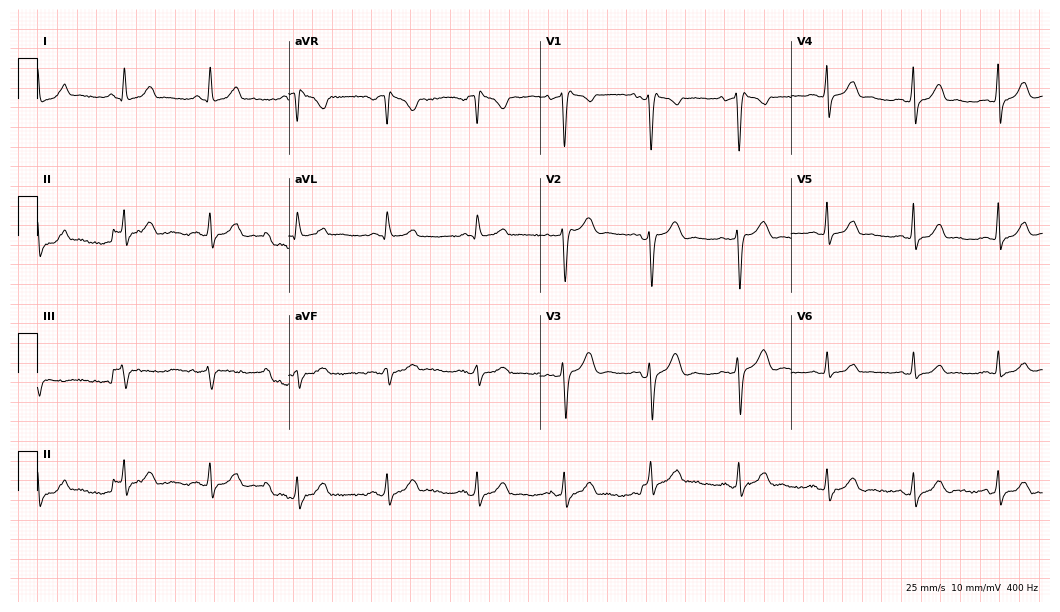
Resting 12-lead electrocardiogram. Patient: a woman, 47 years old. None of these six findings is recorded: first-degree AV block, right bundle branch block (RBBB), left bundle branch block (LBBB), sinus bradycardia, atrial fibrillation (AF), sinus tachycardia. Other findings, if any, are not listed.